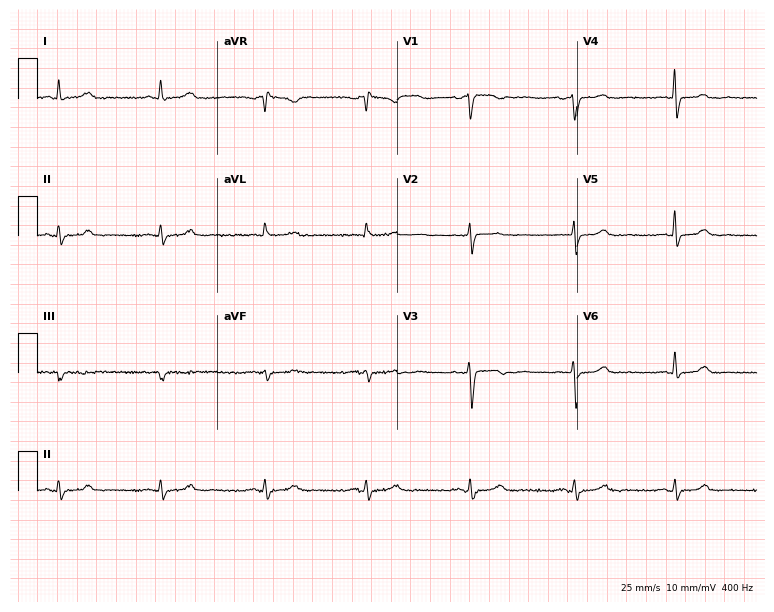
12-lead ECG from a 47-year-old female. No first-degree AV block, right bundle branch block, left bundle branch block, sinus bradycardia, atrial fibrillation or sinus tachycardia recorded for this tracing. Only these six findings were labelled.